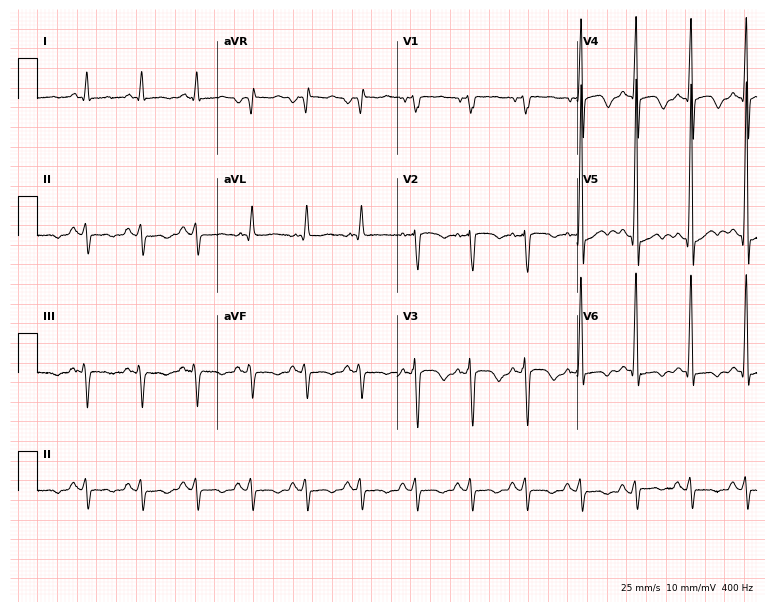
12-lead ECG from a 60-year-old male. Findings include sinus tachycardia (a sinus rate of 100 beats per minute or more).